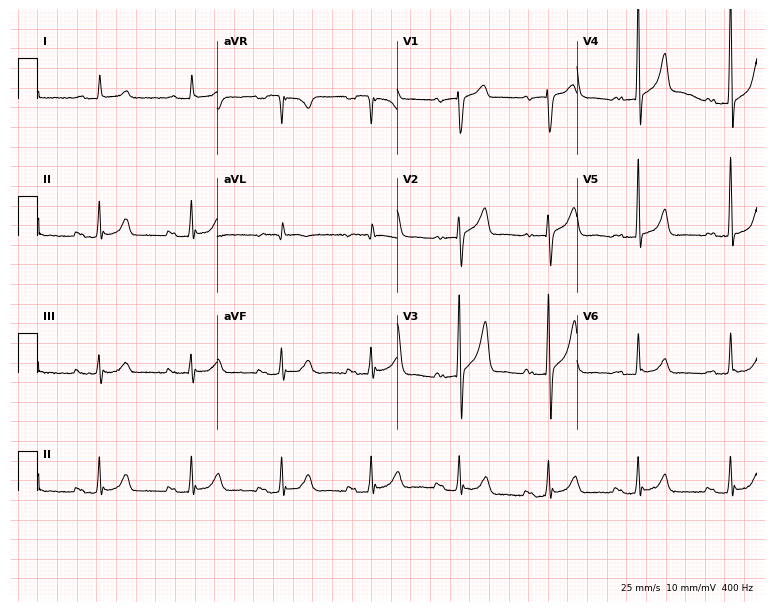
Electrocardiogram, a 63-year-old man. Interpretation includes first-degree AV block.